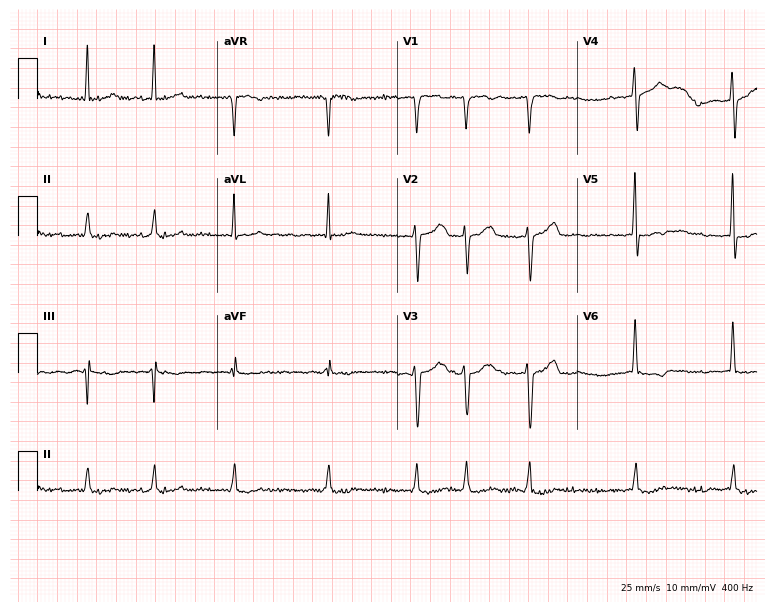
12-lead ECG from a male patient, 63 years old (7.3-second recording at 400 Hz). Shows atrial fibrillation (AF).